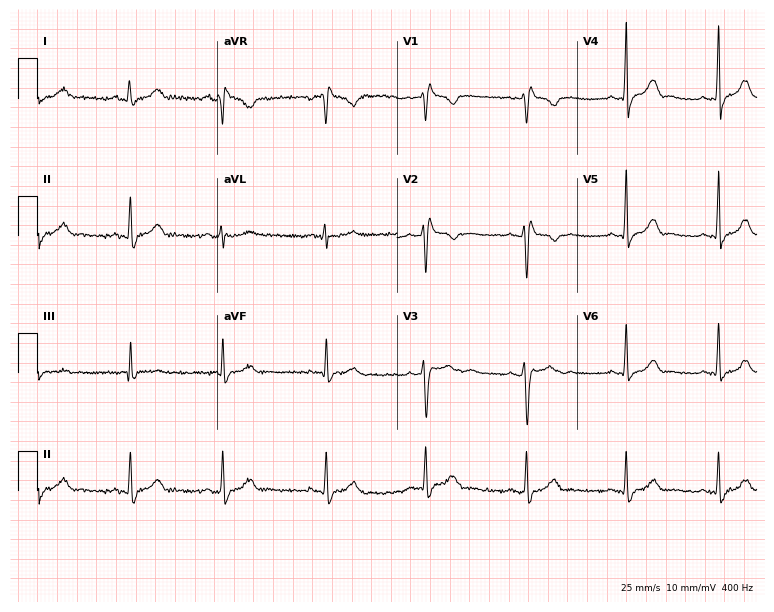
12-lead ECG from a female, 23 years old (7.3-second recording at 400 Hz). No first-degree AV block, right bundle branch block, left bundle branch block, sinus bradycardia, atrial fibrillation or sinus tachycardia recorded for this tracing.